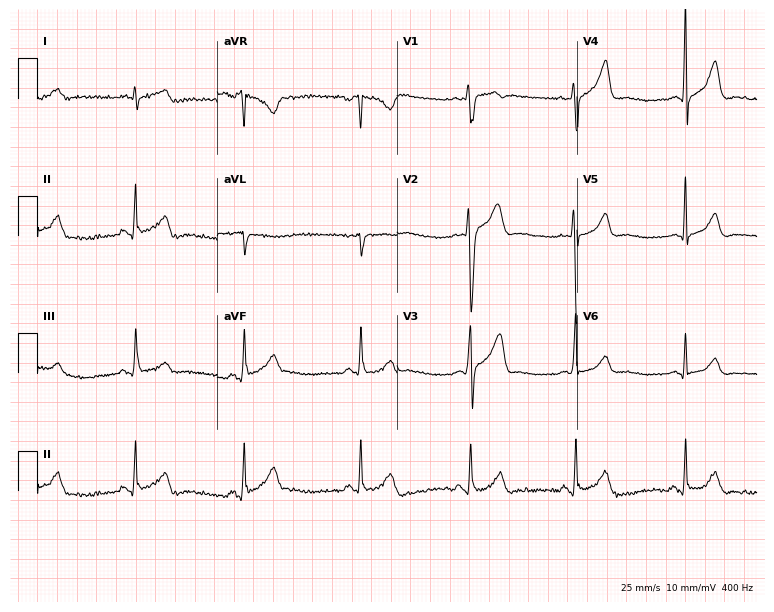
Electrocardiogram (7.3-second recording at 400 Hz), a 24-year-old man. Of the six screened findings (first-degree AV block, right bundle branch block, left bundle branch block, sinus bradycardia, atrial fibrillation, sinus tachycardia), none is recorded.